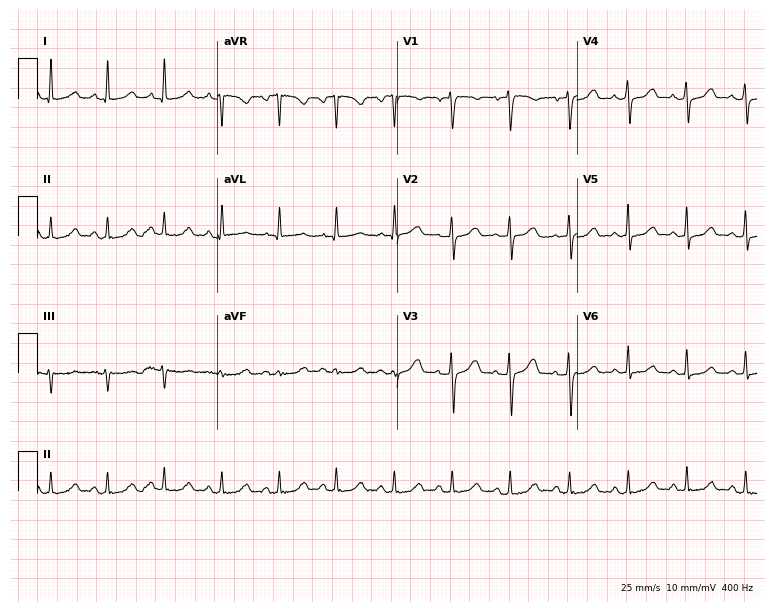
12-lead ECG (7.3-second recording at 400 Hz) from a 58-year-old female. Labelled as a normal ECG.